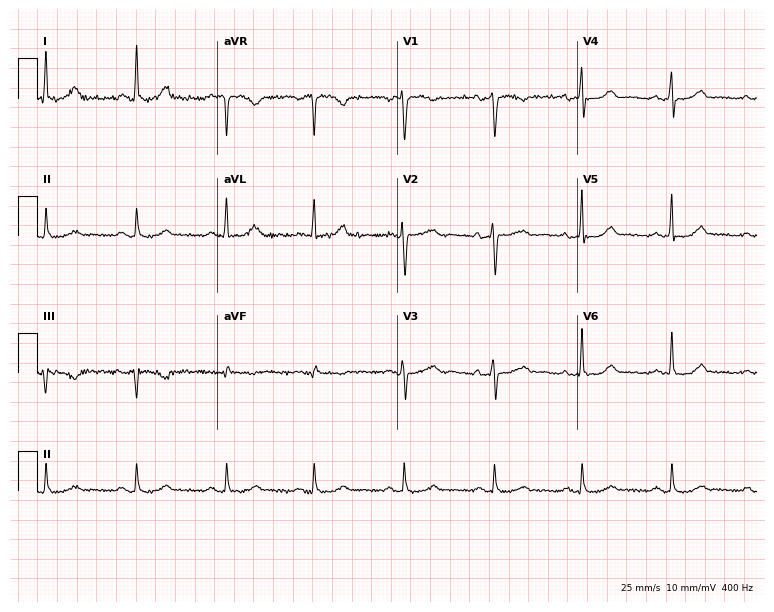
Standard 12-lead ECG recorded from a woman, 53 years old (7.3-second recording at 400 Hz). None of these six findings is recorded: first-degree AV block, right bundle branch block, left bundle branch block, sinus bradycardia, atrial fibrillation, sinus tachycardia.